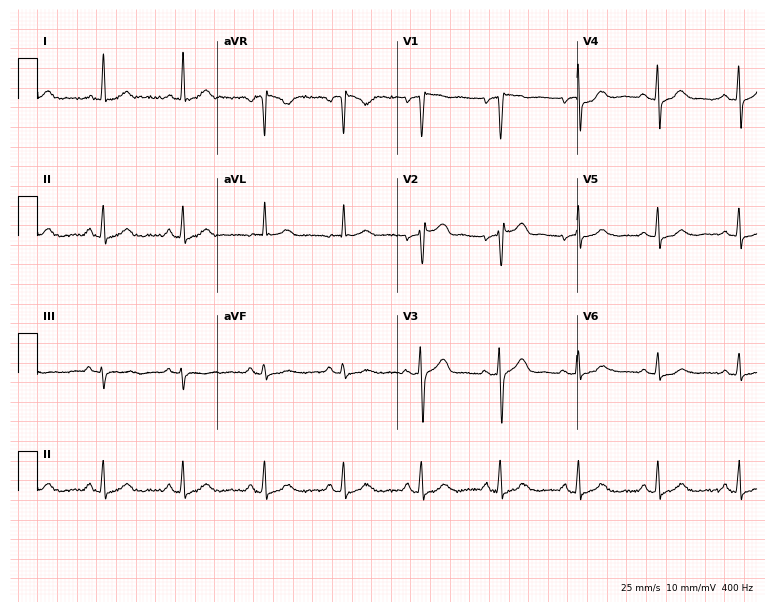
12-lead ECG from a 52-year-old female patient. Recorded interpretation: within normal limits.